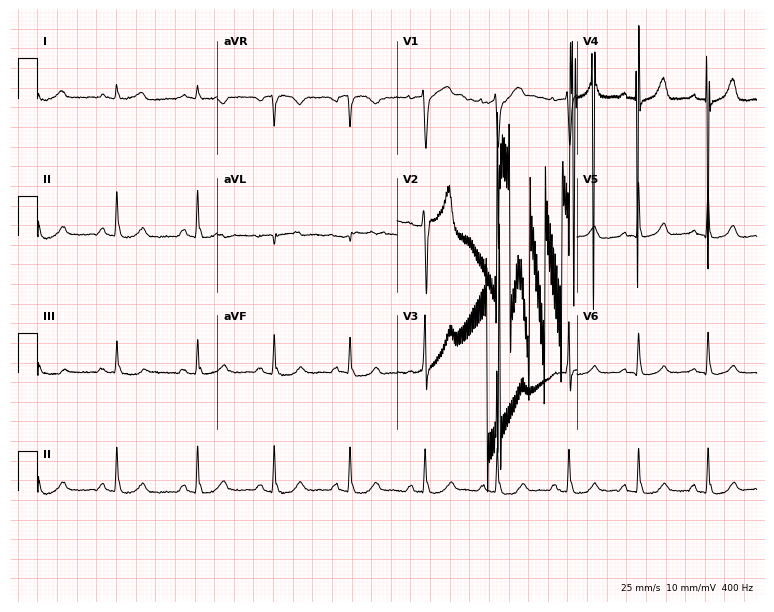
Standard 12-lead ECG recorded from a man, 38 years old. None of these six findings is recorded: first-degree AV block, right bundle branch block, left bundle branch block, sinus bradycardia, atrial fibrillation, sinus tachycardia. Other findings, if any, are not listed.